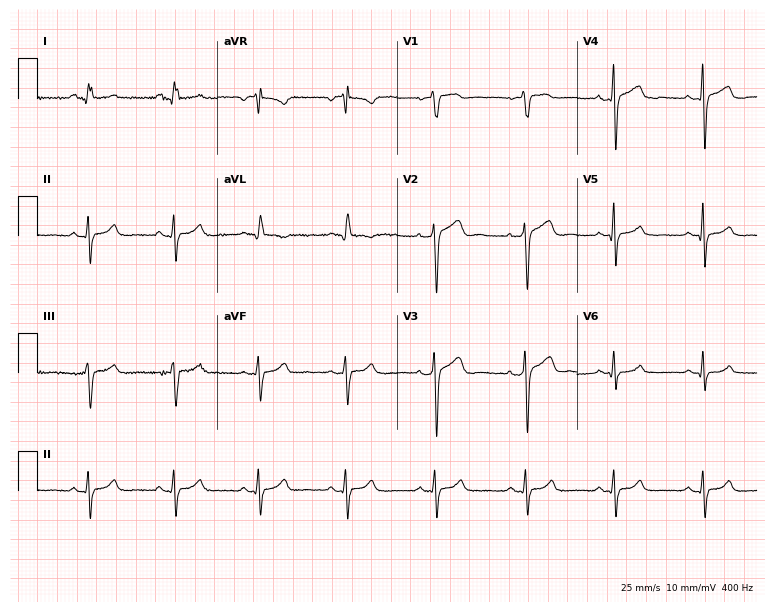
Electrocardiogram (7.3-second recording at 400 Hz), a man, 47 years old. Overall reading on record: normal ECG.